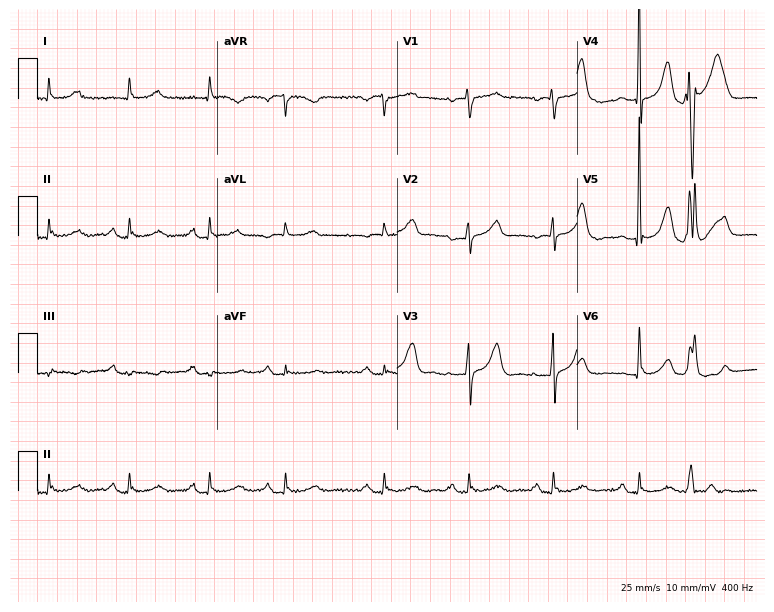
ECG — an 85-year-old female patient. Screened for six findings — first-degree AV block, right bundle branch block (RBBB), left bundle branch block (LBBB), sinus bradycardia, atrial fibrillation (AF), sinus tachycardia — none is recorded.